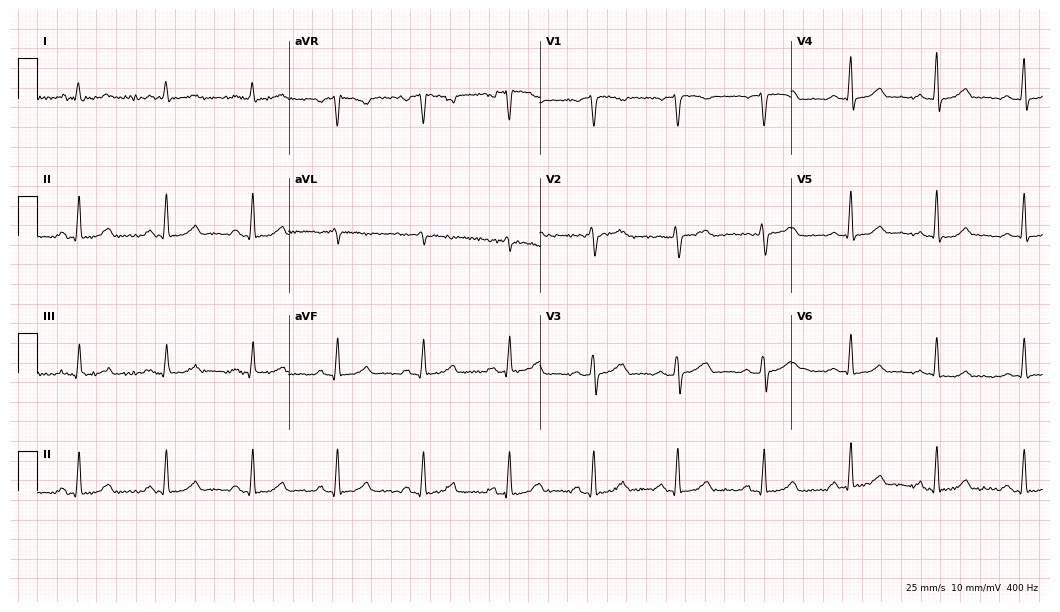
Standard 12-lead ECG recorded from a woman, 44 years old (10.2-second recording at 400 Hz). Read as a normal ECG.